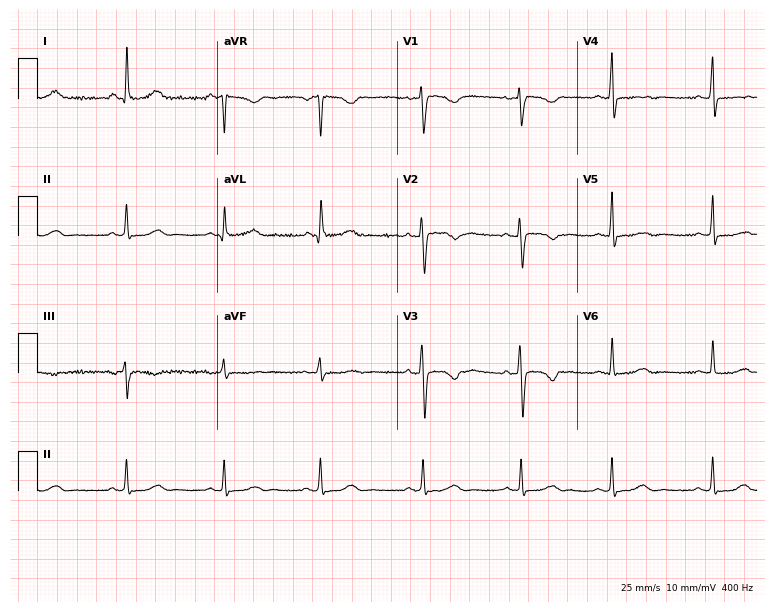
12-lead ECG from a 41-year-old female patient (7.3-second recording at 400 Hz). Recorded interpretation: within normal limits.